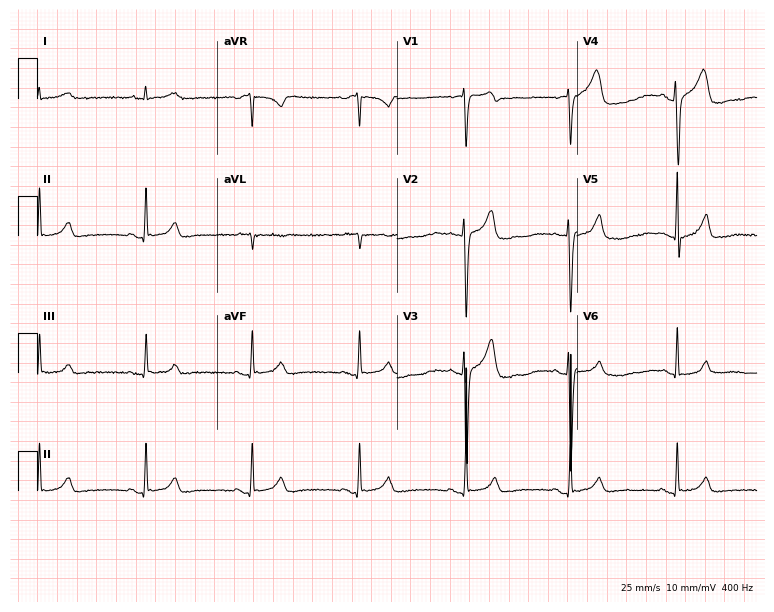
Resting 12-lead electrocardiogram. Patient: a 49-year-old male. Read as a normal ECG.